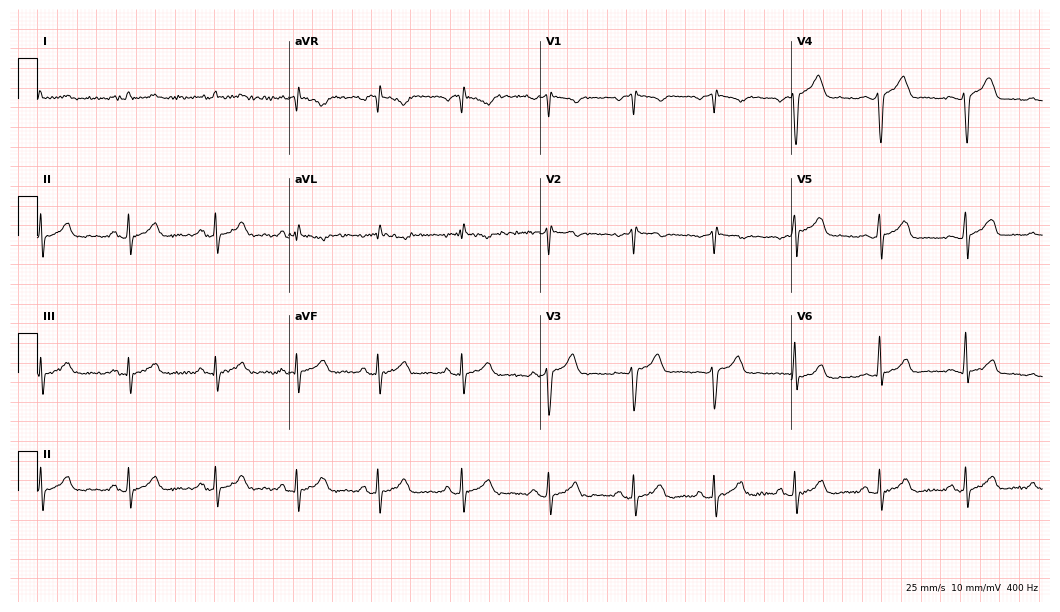
Standard 12-lead ECG recorded from a 38-year-old male (10.2-second recording at 400 Hz). None of these six findings is recorded: first-degree AV block, right bundle branch block, left bundle branch block, sinus bradycardia, atrial fibrillation, sinus tachycardia. Only these six findings were labelled.